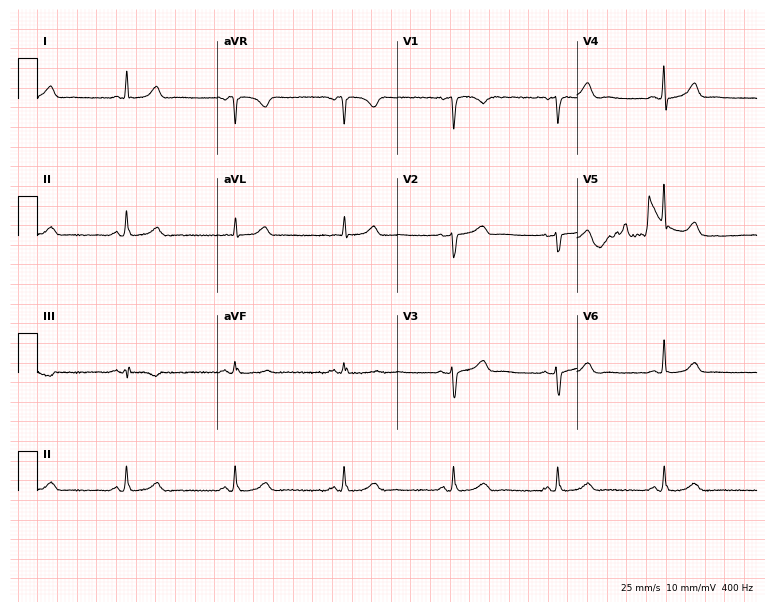
Resting 12-lead electrocardiogram. Patient: a female, 62 years old. None of these six findings is recorded: first-degree AV block, right bundle branch block, left bundle branch block, sinus bradycardia, atrial fibrillation, sinus tachycardia. Findings outside these six are not listed.